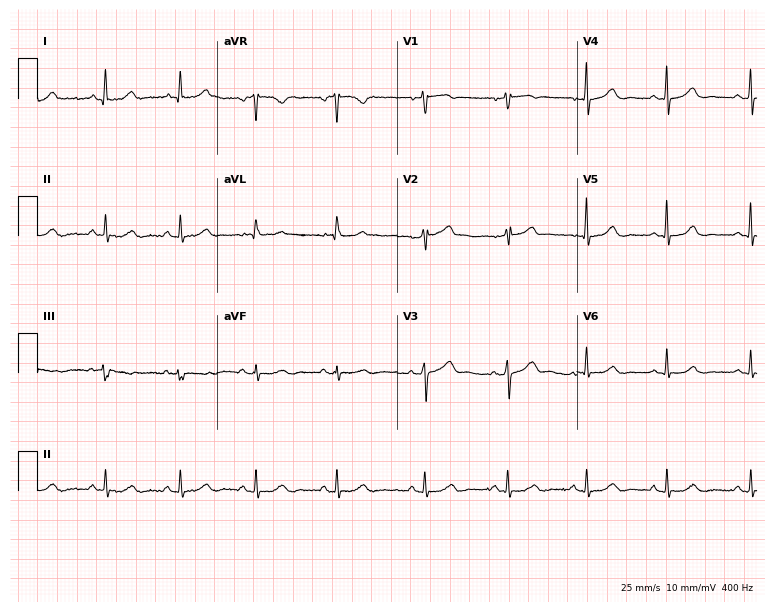
12-lead ECG from a woman, 55 years old (7.3-second recording at 400 Hz). No first-degree AV block, right bundle branch block (RBBB), left bundle branch block (LBBB), sinus bradycardia, atrial fibrillation (AF) or sinus tachycardia recorded for this tracing. Findings outside these six are not listed.